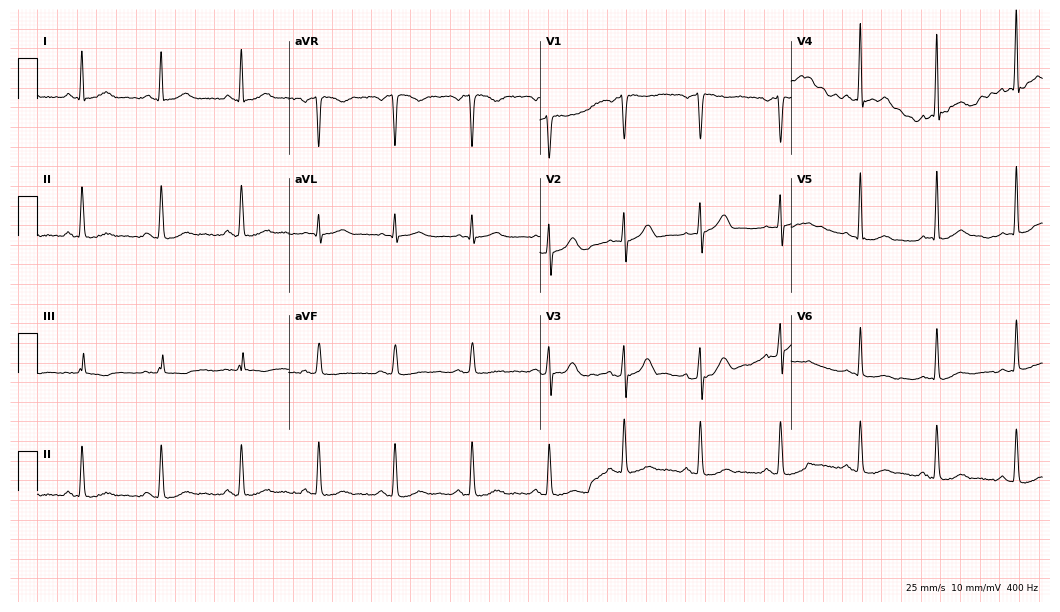
12-lead ECG (10.2-second recording at 400 Hz) from a male, 44 years old. Screened for six findings — first-degree AV block, right bundle branch block (RBBB), left bundle branch block (LBBB), sinus bradycardia, atrial fibrillation (AF), sinus tachycardia — none is recorded. Only these six findings were labelled.